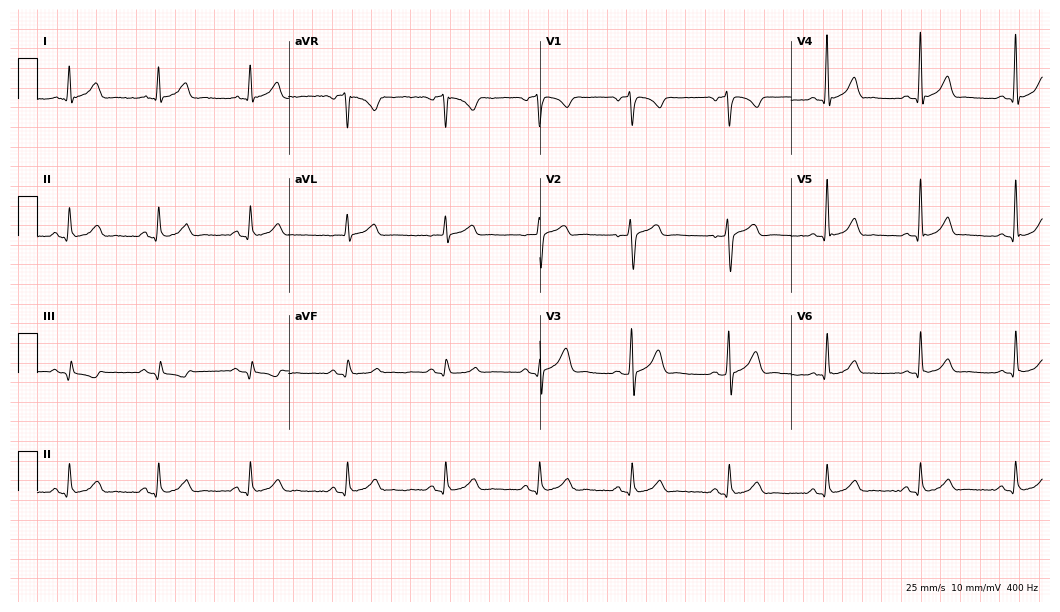
Electrocardiogram, a male patient, 38 years old. Overall reading on record: normal ECG.